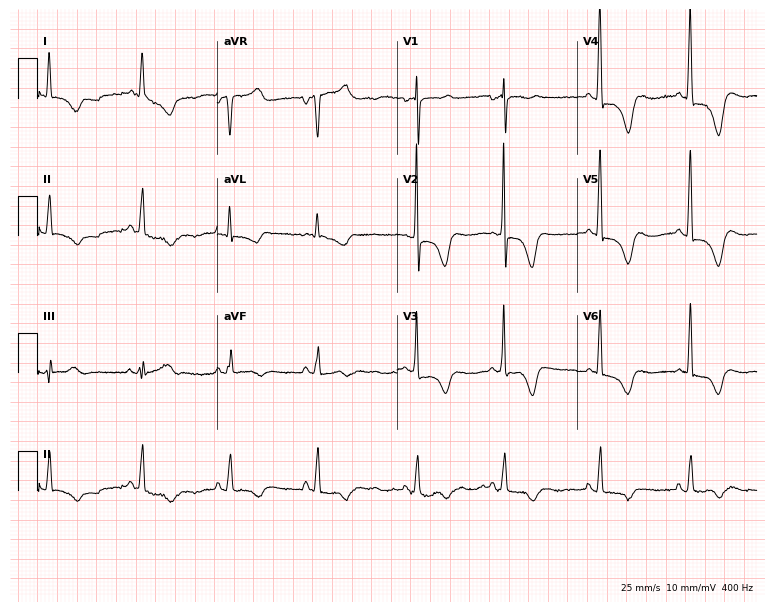
ECG — a female patient, 76 years old. Screened for six findings — first-degree AV block, right bundle branch block (RBBB), left bundle branch block (LBBB), sinus bradycardia, atrial fibrillation (AF), sinus tachycardia — none is recorded. Other findings, if any, are not listed.